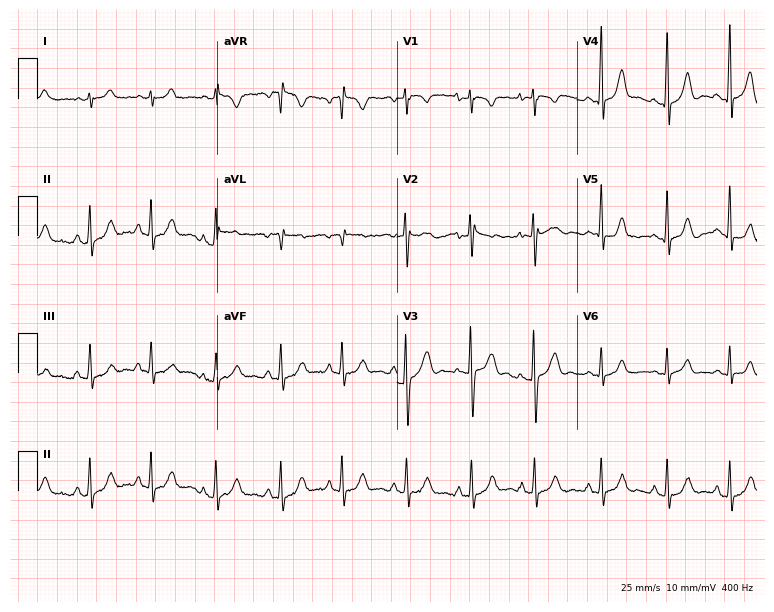
12-lead ECG from a male, 18 years old (7.3-second recording at 400 Hz). Recorded interpretation: within normal limits.